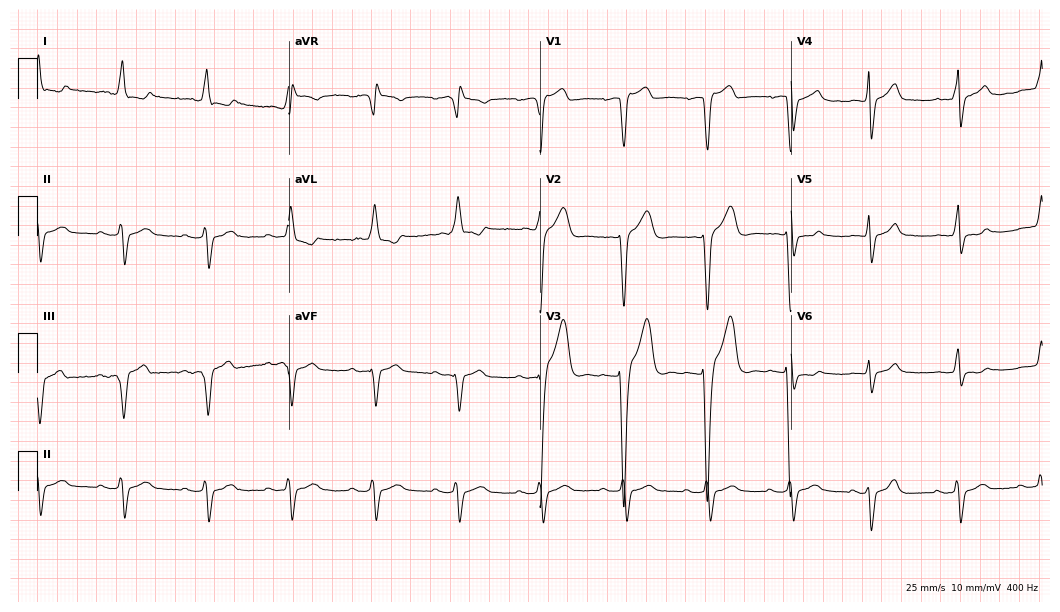
12-lead ECG from an 80-year-old male patient. Findings include left bundle branch block.